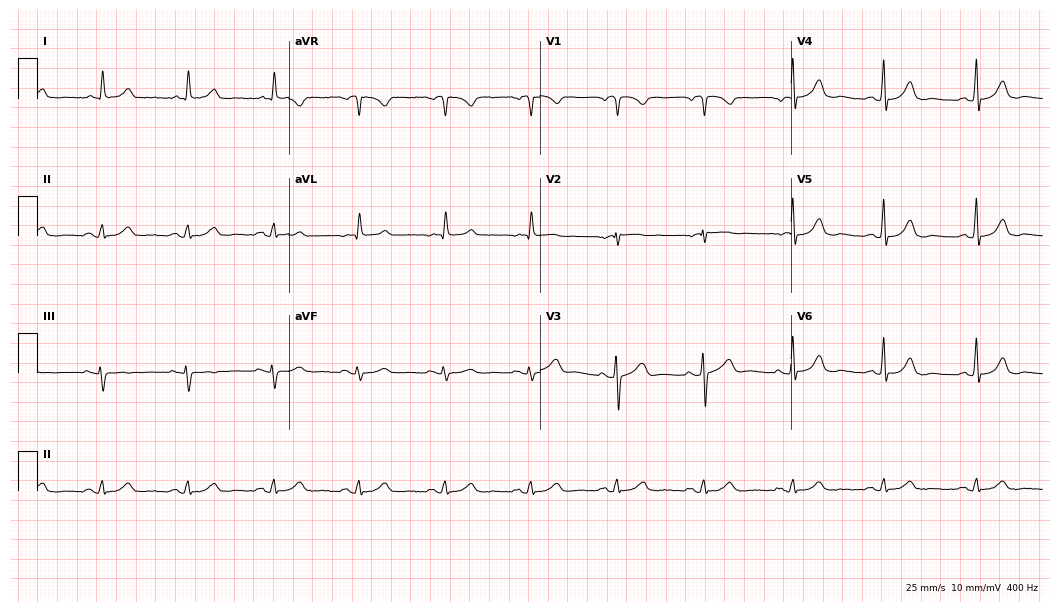
Electrocardiogram (10.2-second recording at 400 Hz), a man, 83 years old. Overall reading on record: normal ECG.